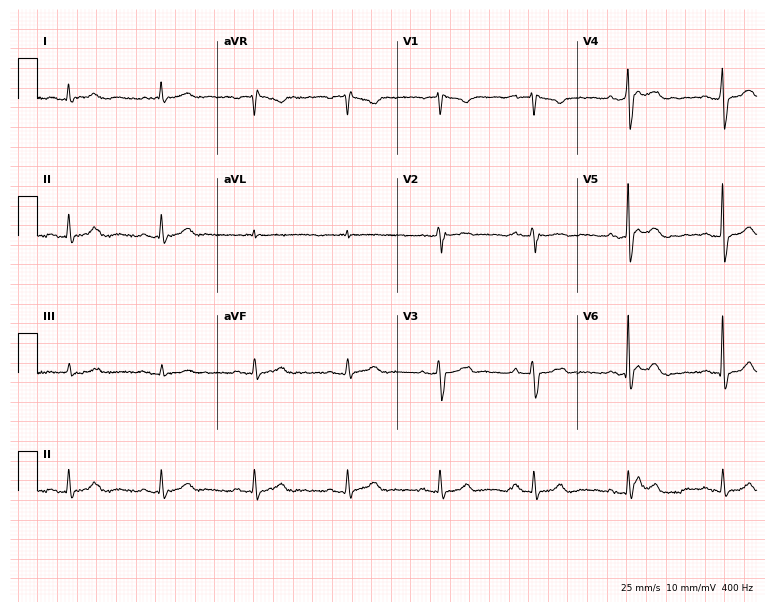
Electrocardiogram, a male, 74 years old. Of the six screened findings (first-degree AV block, right bundle branch block, left bundle branch block, sinus bradycardia, atrial fibrillation, sinus tachycardia), none is recorded. Only these six findings were labelled.